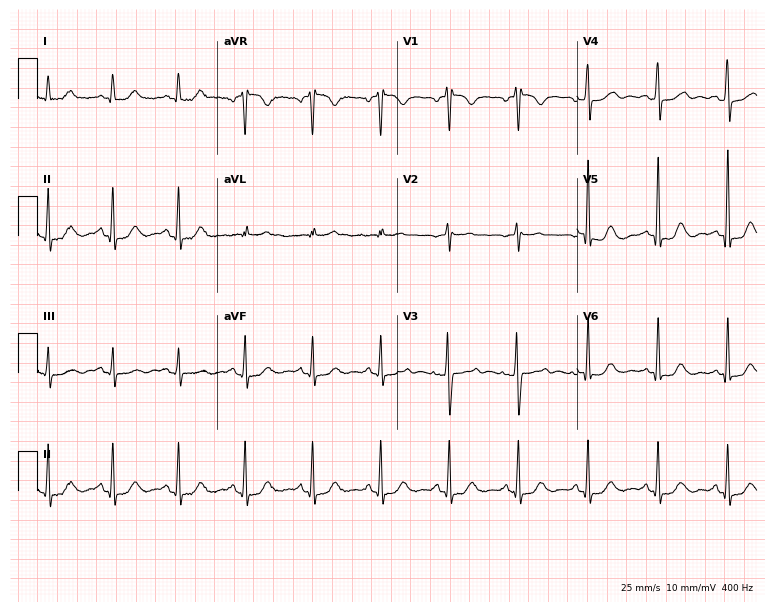
ECG — a 59-year-old female patient. Labelled as a normal ECG.